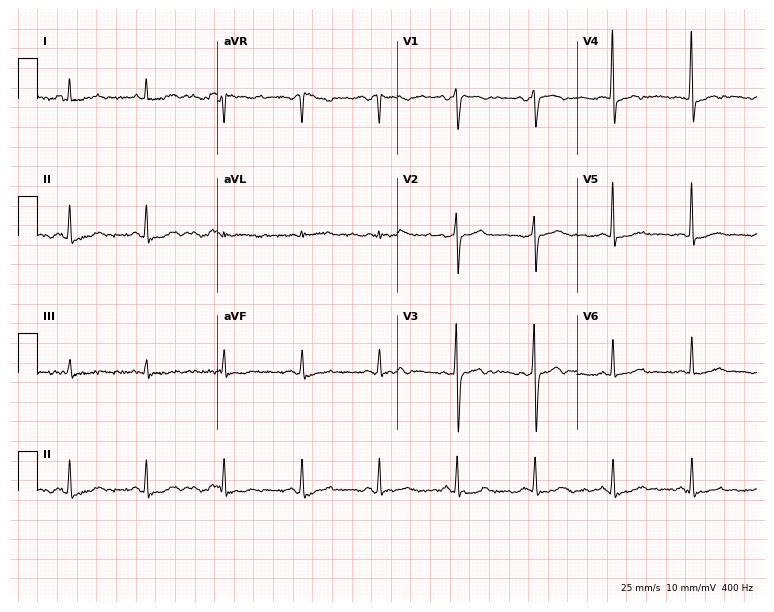
Resting 12-lead electrocardiogram. Patient: a 79-year-old female. None of these six findings is recorded: first-degree AV block, right bundle branch block (RBBB), left bundle branch block (LBBB), sinus bradycardia, atrial fibrillation (AF), sinus tachycardia.